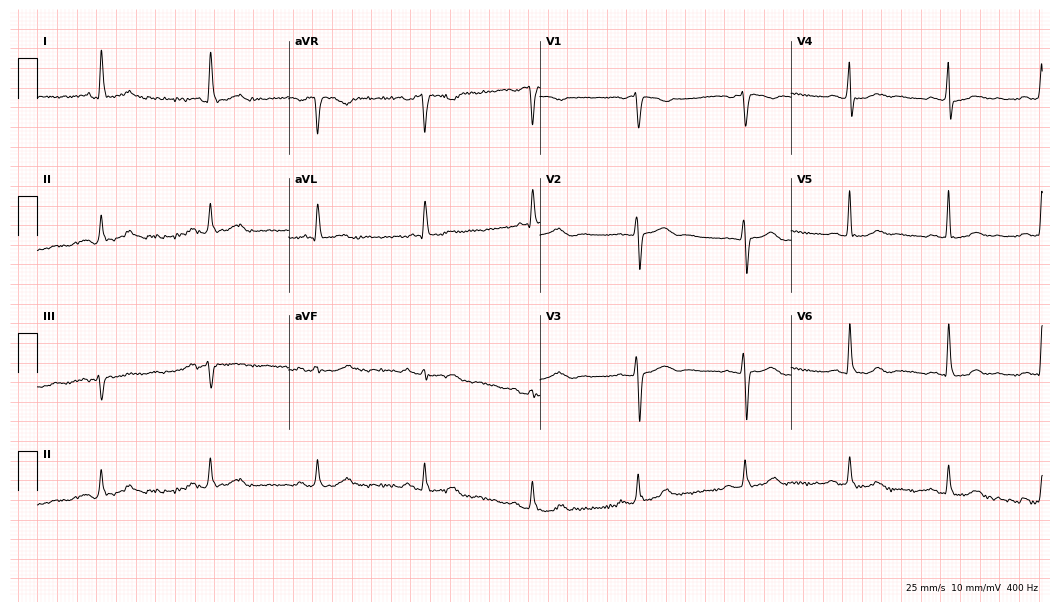
ECG (10.2-second recording at 400 Hz) — a woman, 67 years old. Screened for six findings — first-degree AV block, right bundle branch block (RBBB), left bundle branch block (LBBB), sinus bradycardia, atrial fibrillation (AF), sinus tachycardia — none is recorded. Only these six findings were labelled.